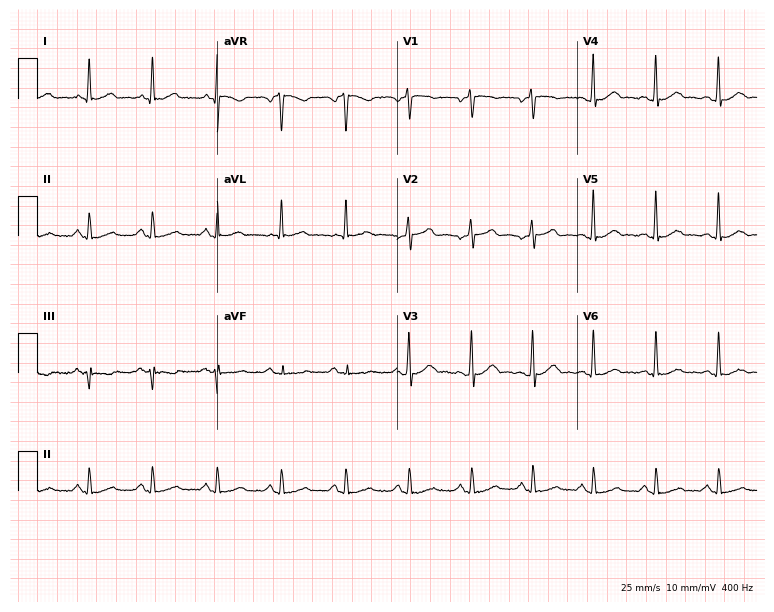
Resting 12-lead electrocardiogram. Patient: a male, 55 years old. Read as a normal ECG.